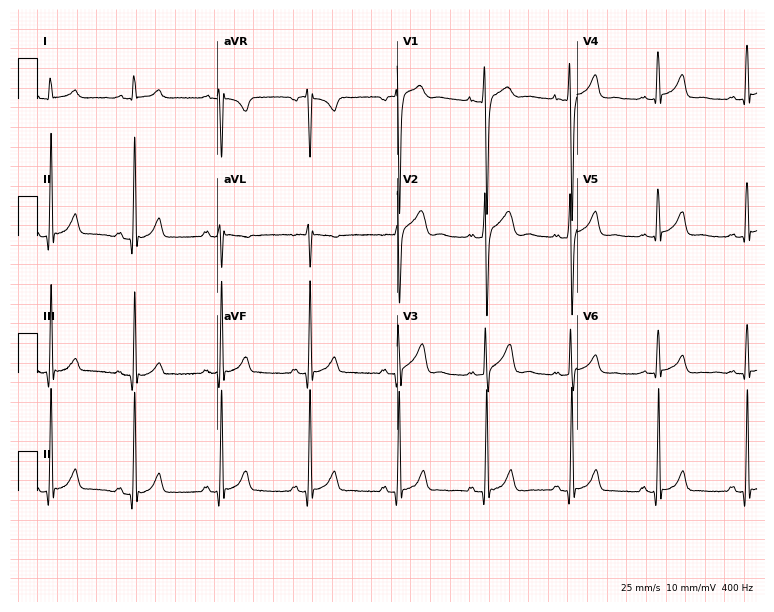
ECG (7.3-second recording at 400 Hz) — a male patient, 23 years old. Screened for six findings — first-degree AV block, right bundle branch block (RBBB), left bundle branch block (LBBB), sinus bradycardia, atrial fibrillation (AF), sinus tachycardia — none is recorded.